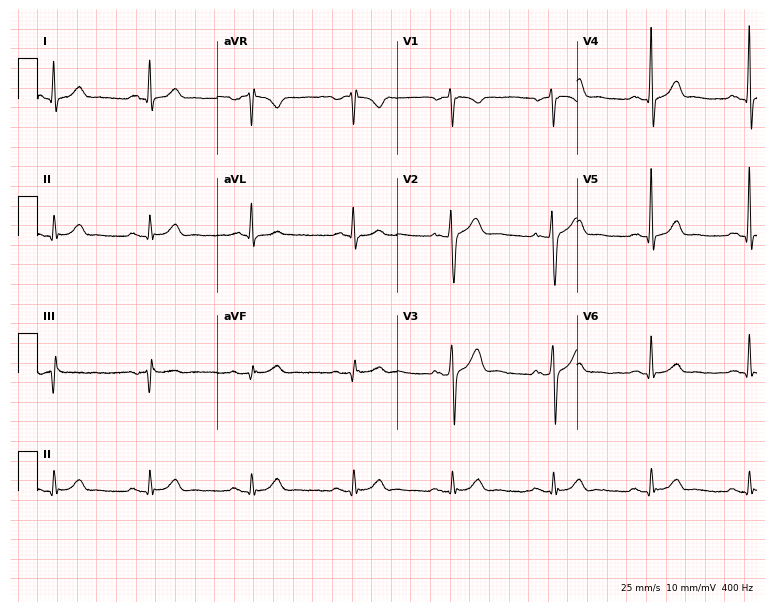
Standard 12-lead ECG recorded from a 38-year-old male. None of these six findings is recorded: first-degree AV block, right bundle branch block (RBBB), left bundle branch block (LBBB), sinus bradycardia, atrial fibrillation (AF), sinus tachycardia. Findings outside these six are not listed.